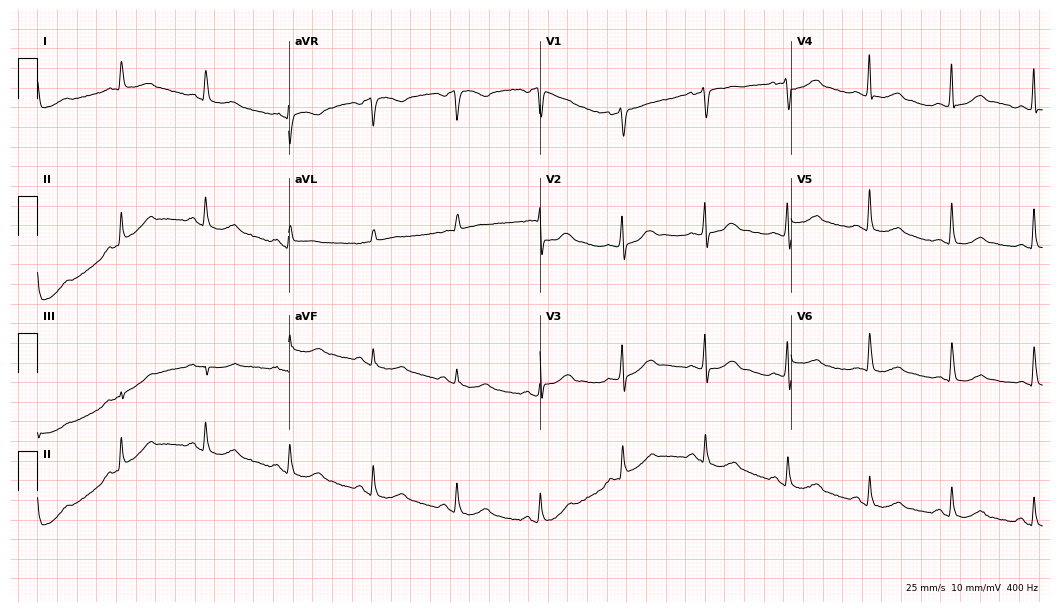
ECG — a 61-year-old man. Labelled as a normal ECG.